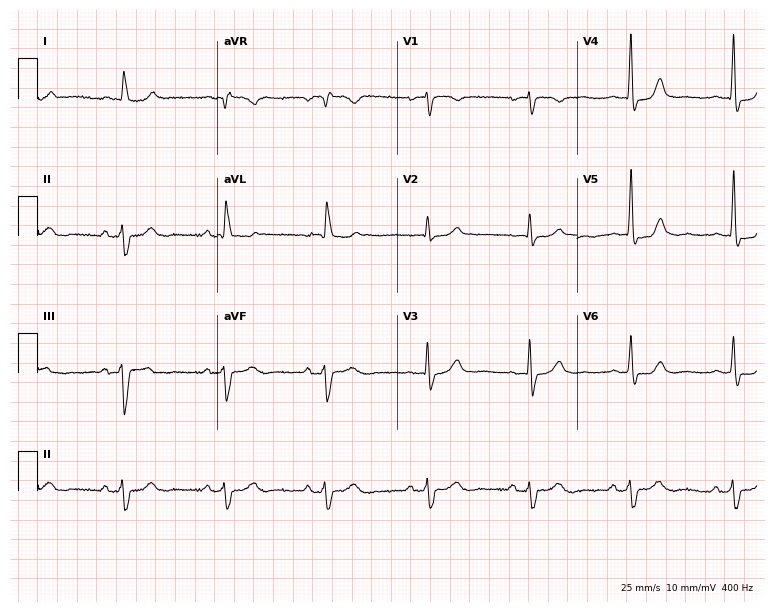
ECG — an 85-year-old woman. Screened for six findings — first-degree AV block, right bundle branch block (RBBB), left bundle branch block (LBBB), sinus bradycardia, atrial fibrillation (AF), sinus tachycardia — none is recorded. Findings outside these six are not listed.